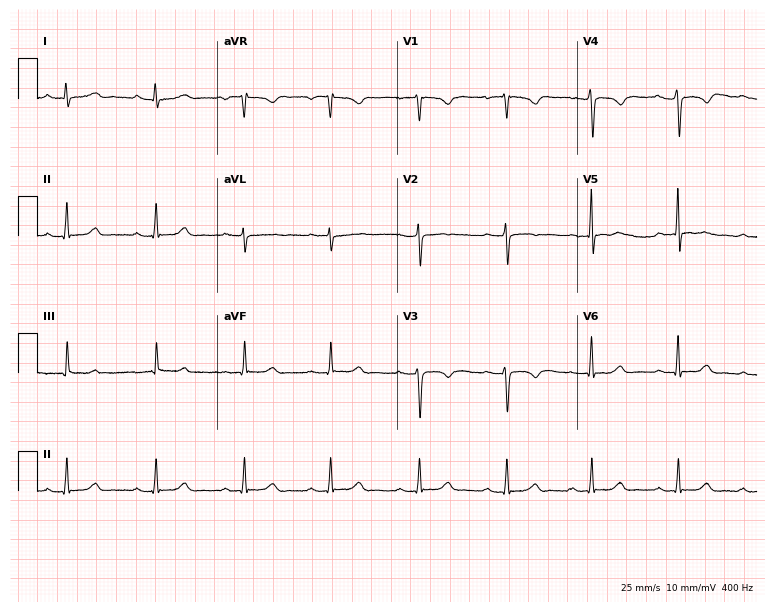
12-lead ECG (7.3-second recording at 400 Hz) from a 41-year-old female patient. Screened for six findings — first-degree AV block, right bundle branch block (RBBB), left bundle branch block (LBBB), sinus bradycardia, atrial fibrillation (AF), sinus tachycardia — none is recorded. Findings outside these six are not listed.